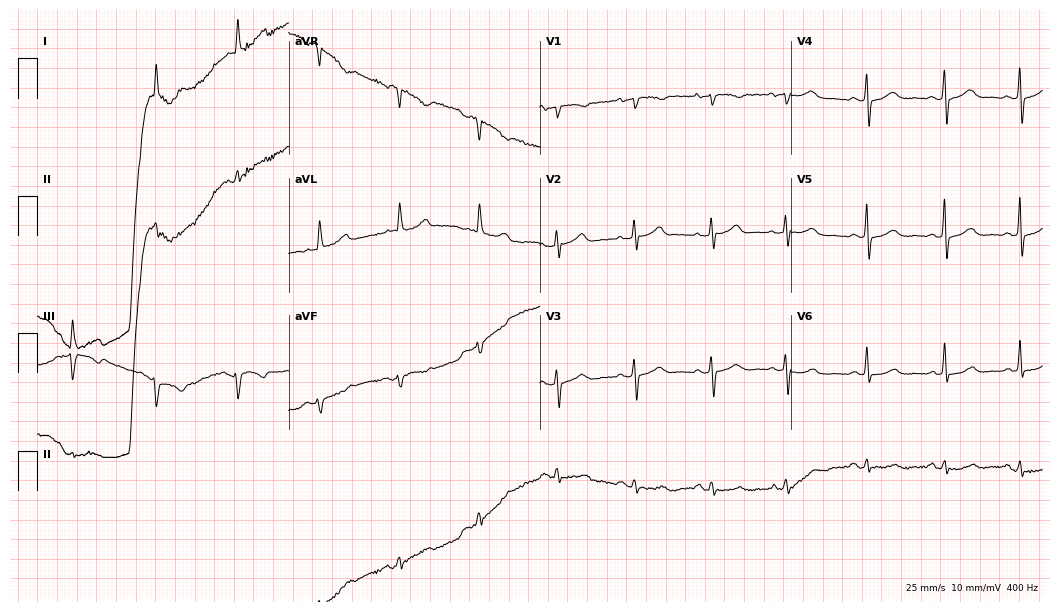
12-lead ECG from a female patient, 75 years old. Labelled as a normal ECG.